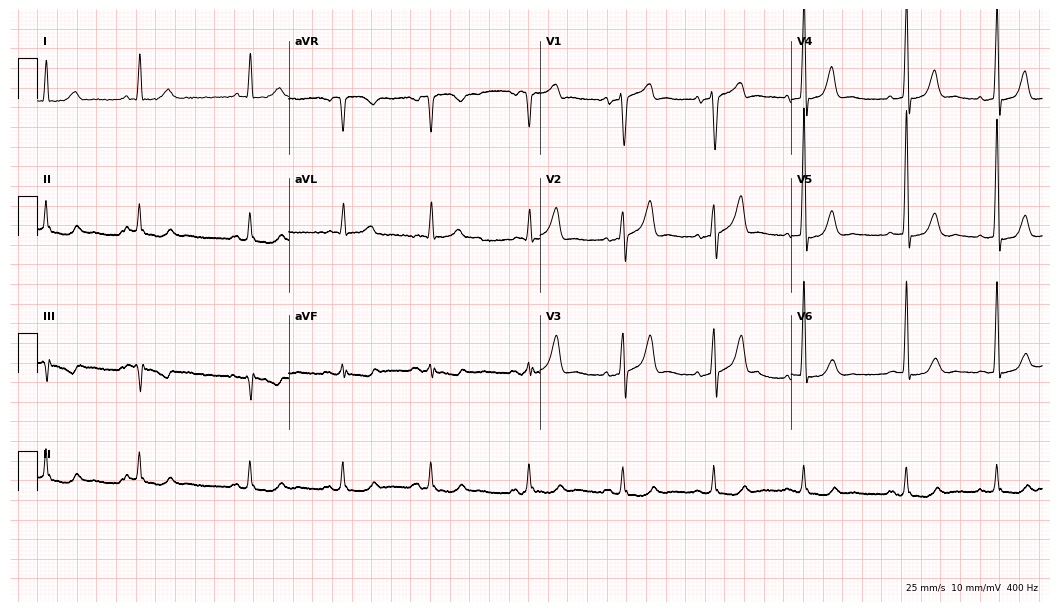
ECG — a 77-year-old male. Labelled as a normal ECG.